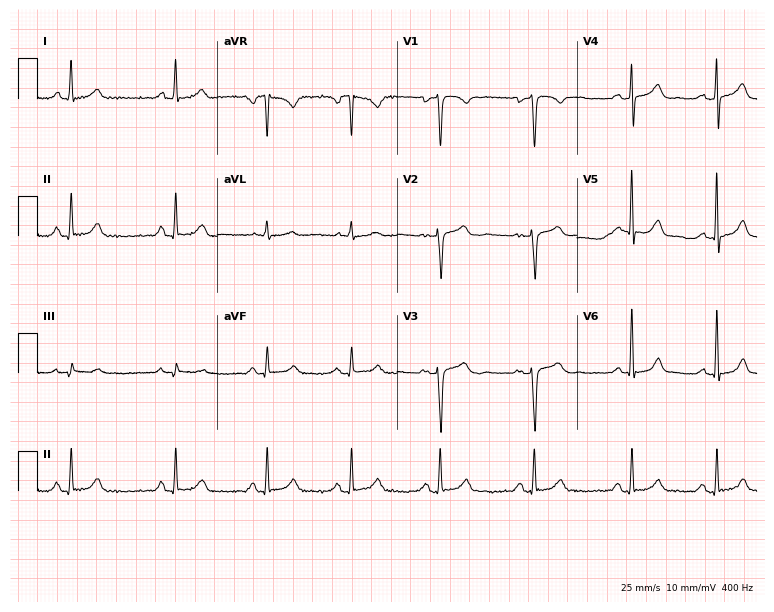
12-lead ECG from a female patient, 31 years old (7.3-second recording at 400 Hz). No first-degree AV block, right bundle branch block (RBBB), left bundle branch block (LBBB), sinus bradycardia, atrial fibrillation (AF) or sinus tachycardia recorded for this tracing. Findings outside these six are not listed.